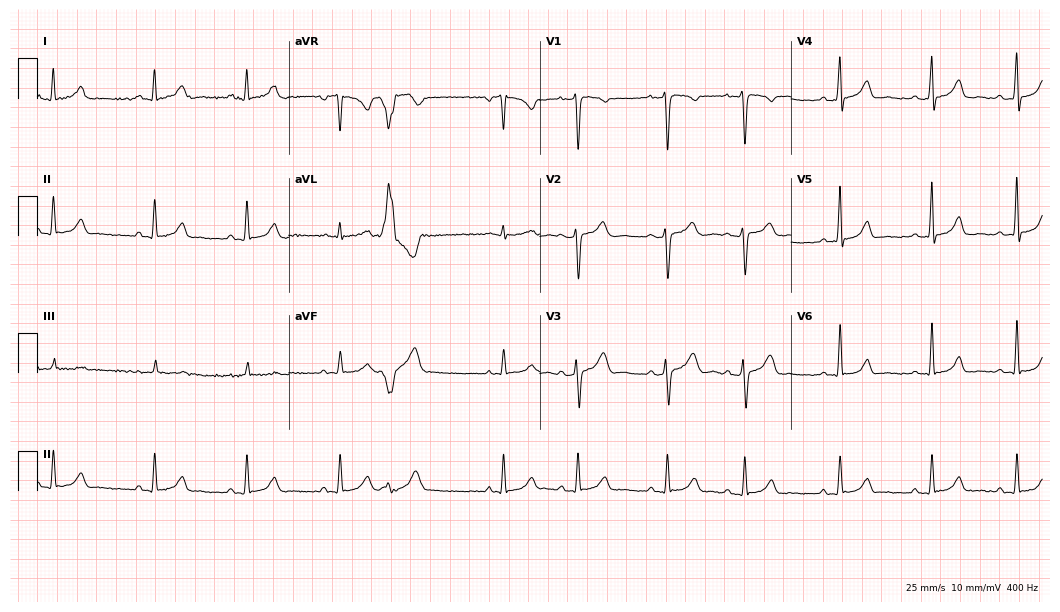
Standard 12-lead ECG recorded from a female, 32 years old. None of these six findings is recorded: first-degree AV block, right bundle branch block (RBBB), left bundle branch block (LBBB), sinus bradycardia, atrial fibrillation (AF), sinus tachycardia. Findings outside these six are not listed.